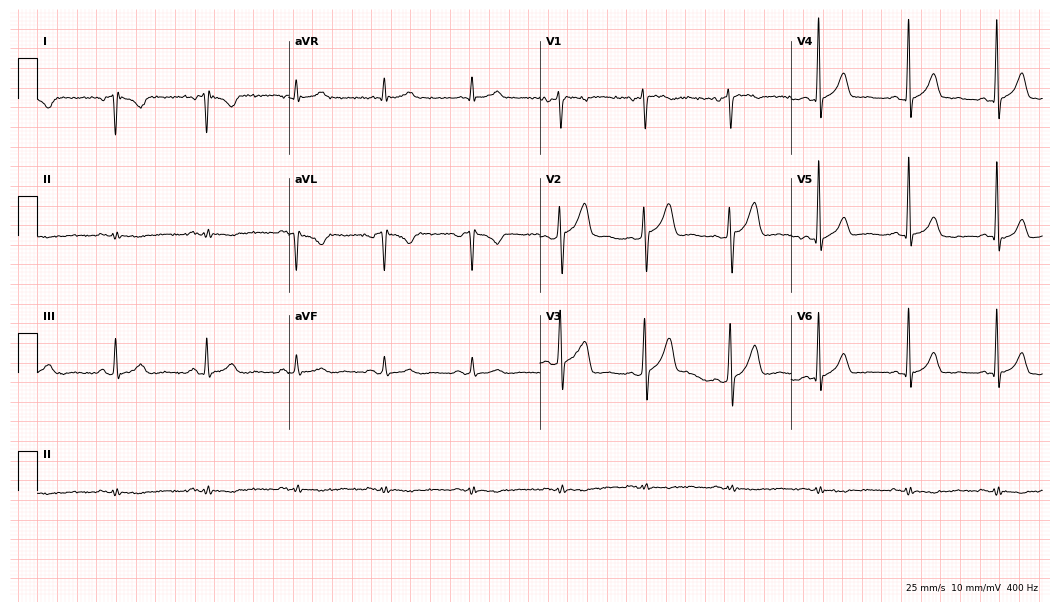
Standard 12-lead ECG recorded from a male, 40 years old. Read as a normal ECG.